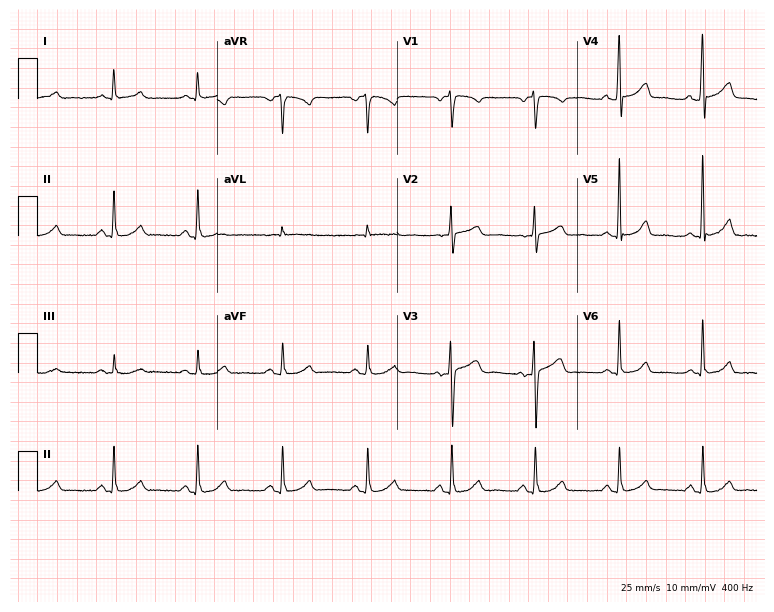
12-lead ECG from a female, 70 years old. Recorded interpretation: within normal limits.